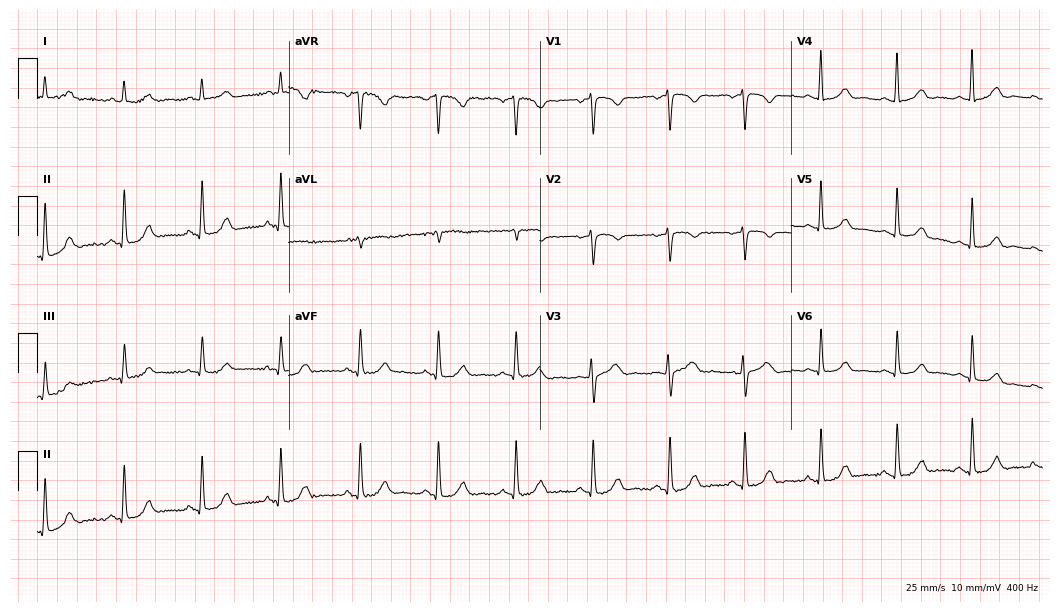
Electrocardiogram (10.2-second recording at 400 Hz), a woman, 49 years old. Of the six screened findings (first-degree AV block, right bundle branch block (RBBB), left bundle branch block (LBBB), sinus bradycardia, atrial fibrillation (AF), sinus tachycardia), none is recorded. Only these six findings were labelled.